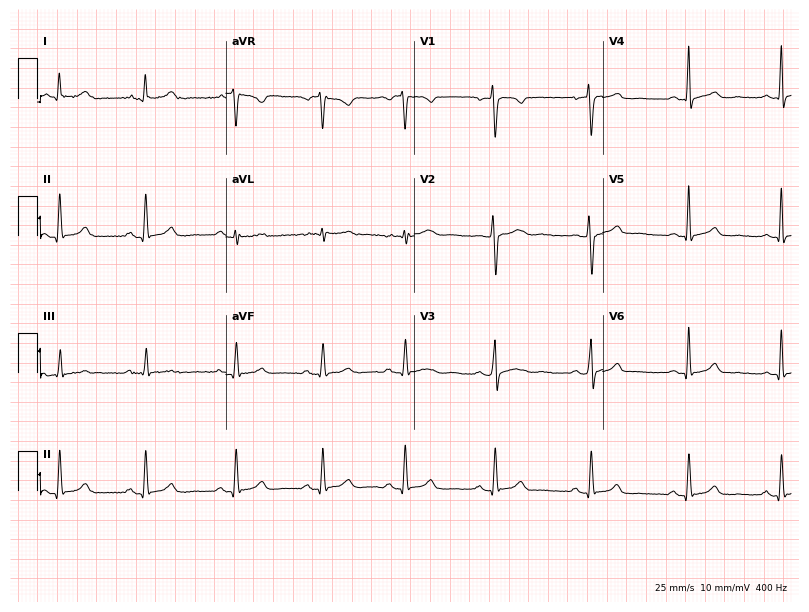
12-lead ECG from a female, 22 years old. Recorded interpretation: within normal limits.